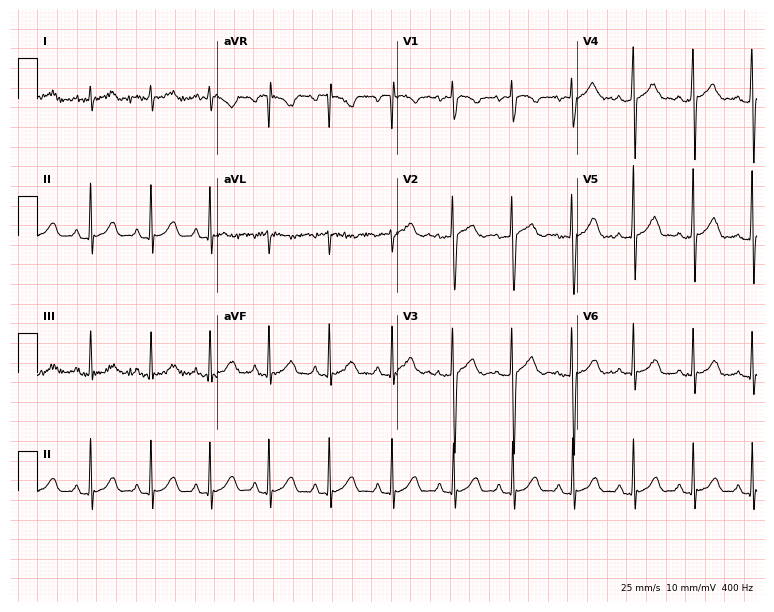
Standard 12-lead ECG recorded from a female patient, 20 years old. Read as a normal ECG.